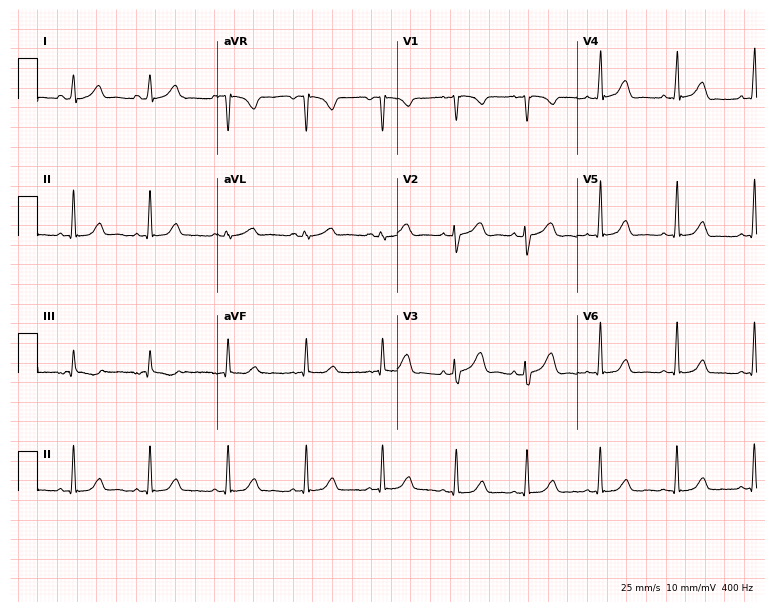
ECG (7.3-second recording at 400 Hz) — a 29-year-old female. Labelled as a normal ECG.